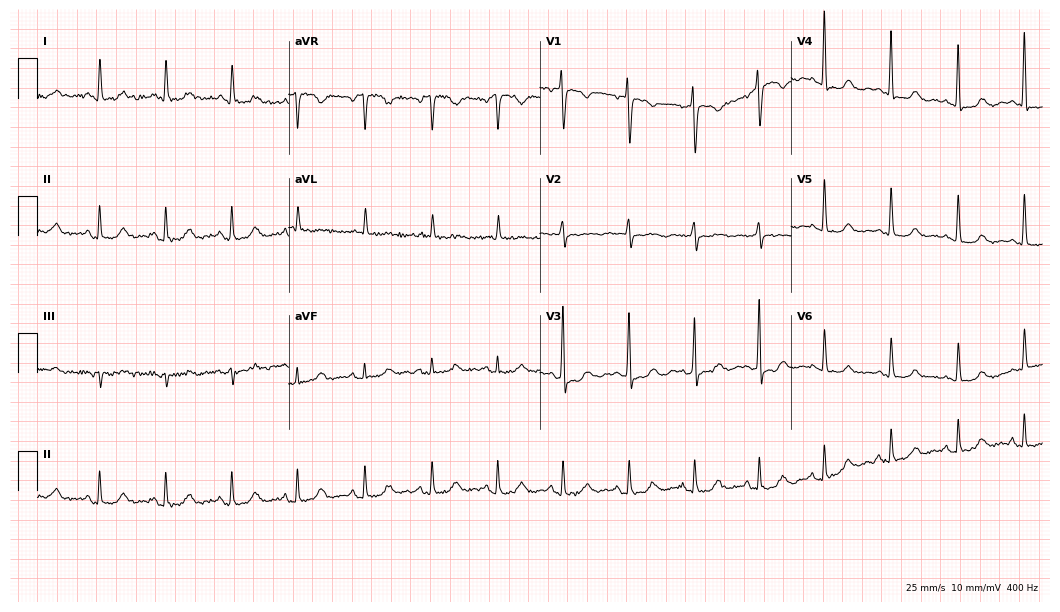
Resting 12-lead electrocardiogram (10.2-second recording at 400 Hz). Patient: a 75-year-old woman. Read as a normal ECG.